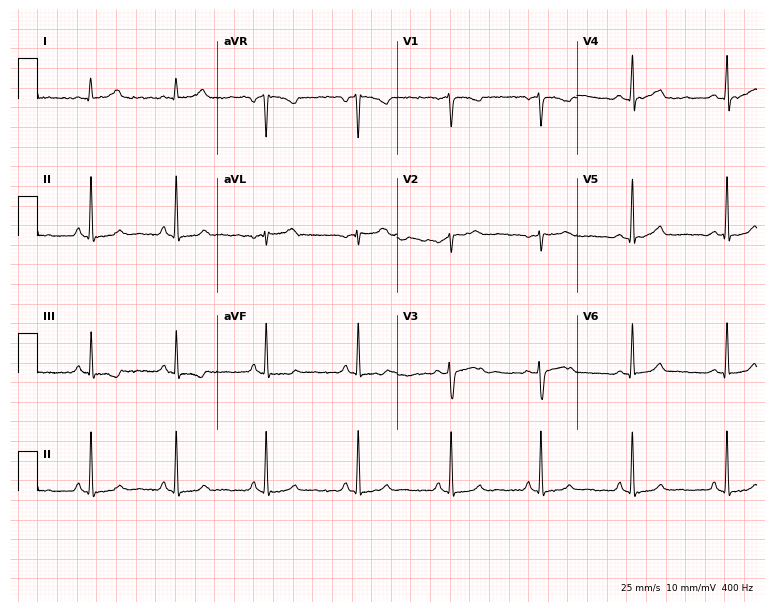
Resting 12-lead electrocardiogram. Patient: a female, 31 years old. Read as a normal ECG.